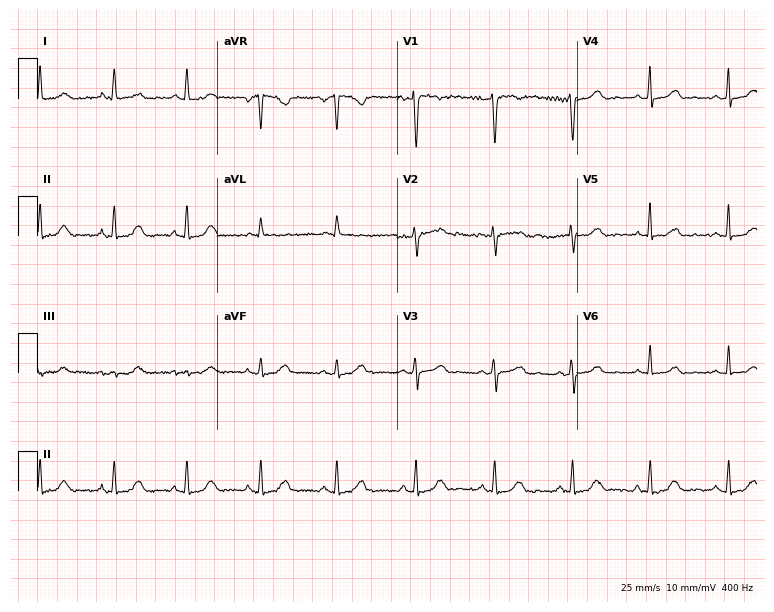
ECG (7.3-second recording at 400 Hz) — a 43-year-old female patient. Labelled as a normal ECG.